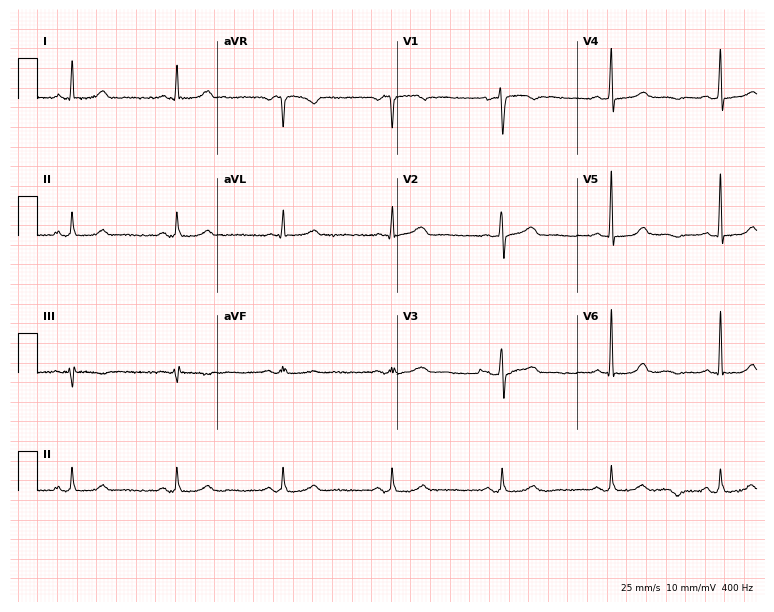
ECG — a woman, 59 years old. Labelled as a normal ECG.